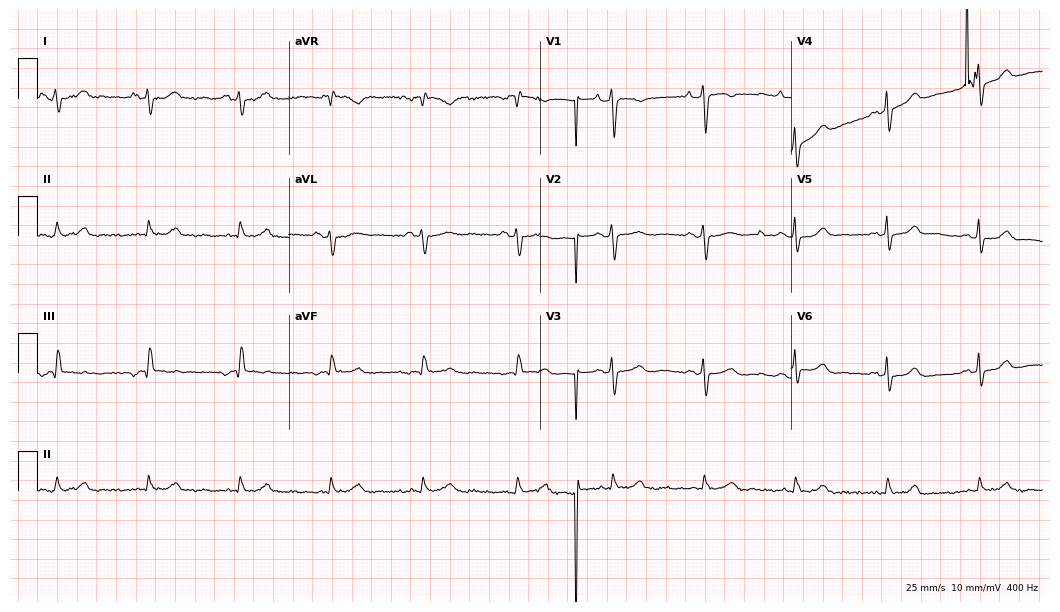
Resting 12-lead electrocardiogram. Patient: an 80-year-old female. None of these six findings is recorded: first-degree AV block, right bundle branch block (RBBB), left bundle branch block (LBBB), sinus bradycardia, atrial fibrillation (AF), sinus tachycardia.